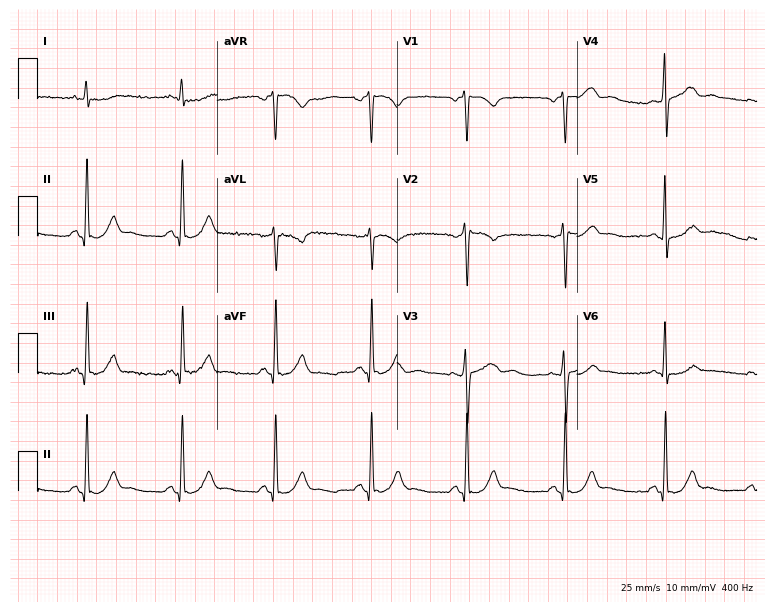
12-lead ECG from a 61-year-old man. No first-degree AV block, right bundle branch block (RBBB), left bundle branch block (LBBB), sinus bradycardia, atrial fibrillation (AF) or sinus tachycardia recorded for this tracing.